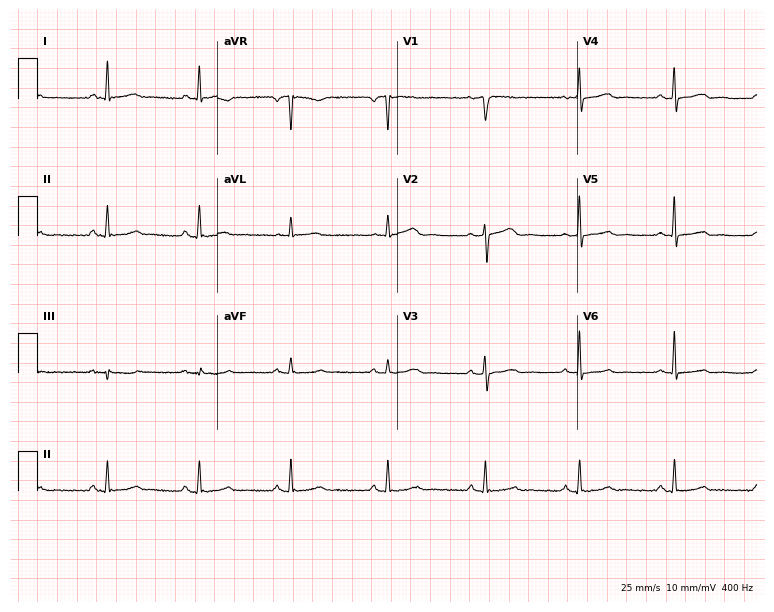
Resting 12-lead electrocardiogram. Patient: a 53-year-old woman. None of these six findings is recorded: first-degree AV block, right bundle branch block, left bundle branch block, sinus bradycardia, atrial fibrillation, sinus tachycardia.